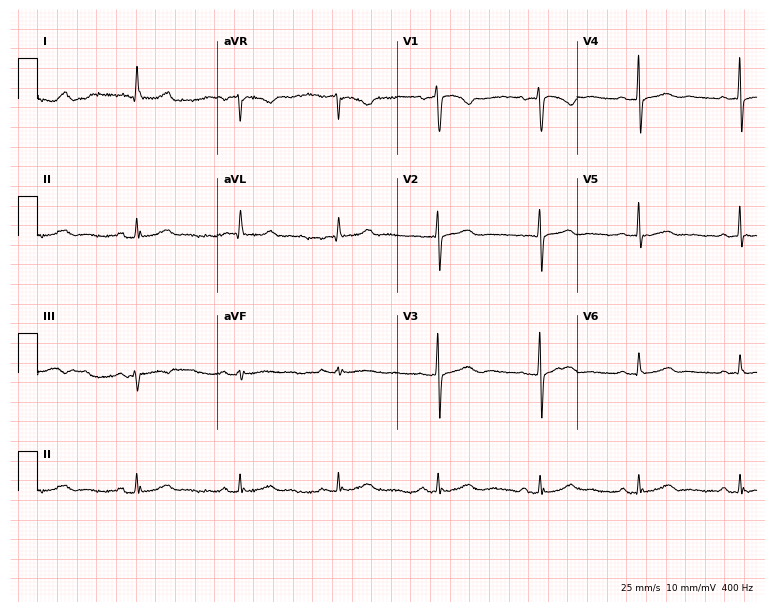
ECG (7.3-second recording at 400 Hz) — a 56-year-old woman. Labelled as a normal ECG.